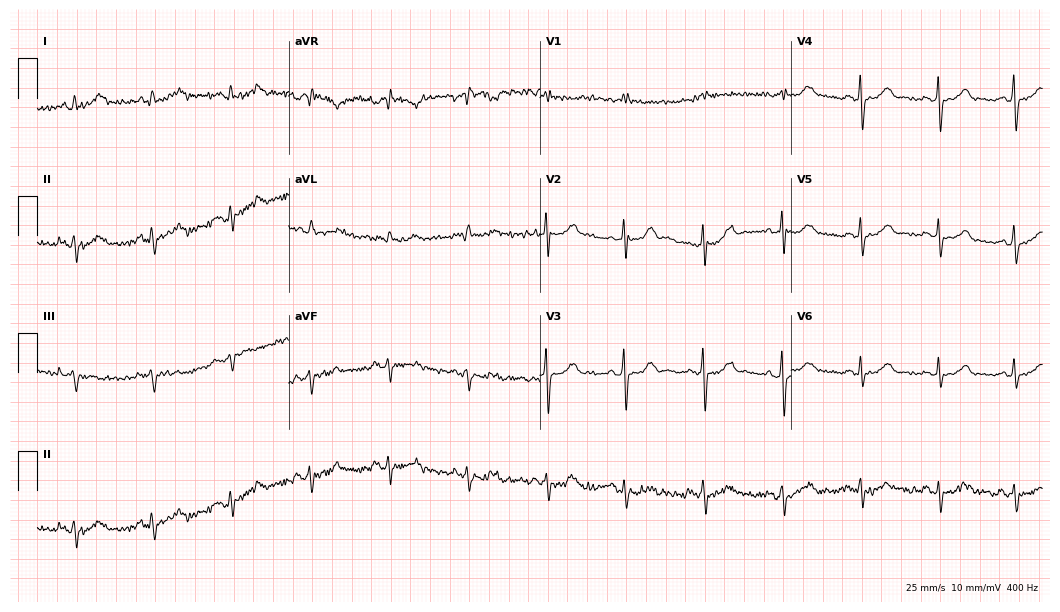
12-lead ECG from a 77-year-old woman (10.2-second recording at 400 Hz). No first-degree AV block, right bundle branch block, left bundle branch block, sinus bradycardia, atrial fibrillation or sinus tachycardia recorded for this tracing. Findings outside these six are not listed.